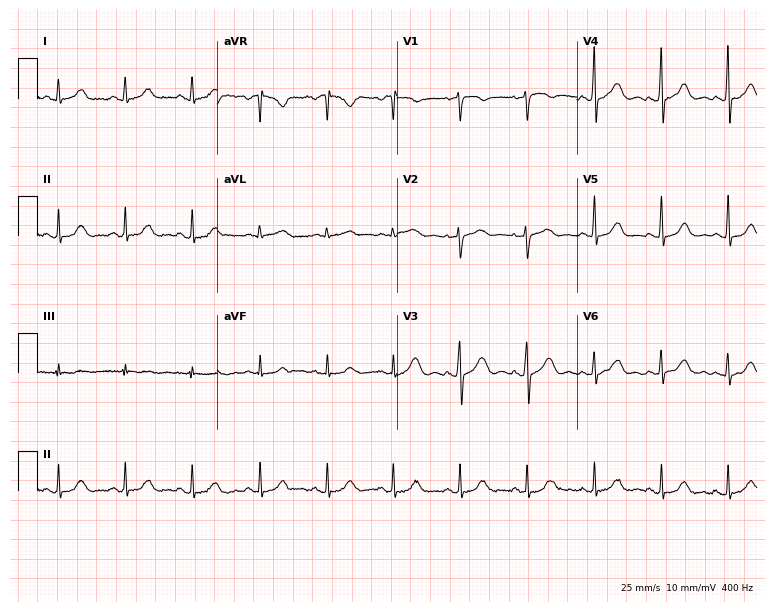
ECG (7.3-second recording at 400 Hz) — a female, 50 years old. Labelled as a normal ECG.